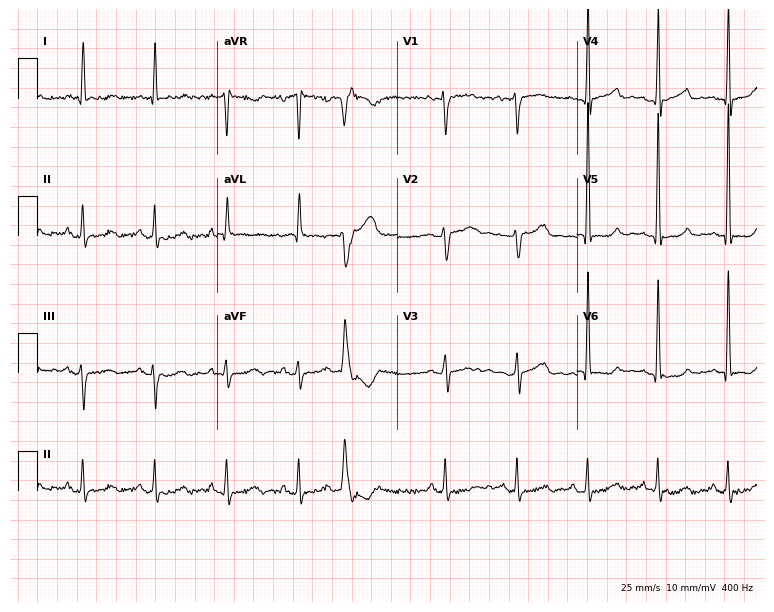
ECG (7.3-second recording at 400 Hz) — a woman, 82 years old. Screened for six findings — first-degree AV block, right bundle branch block, left bundle branch block, sinus bradycardia, atrial fibrillation, sinus tachycardia — none is recorded. Findings outside these six are not listed.